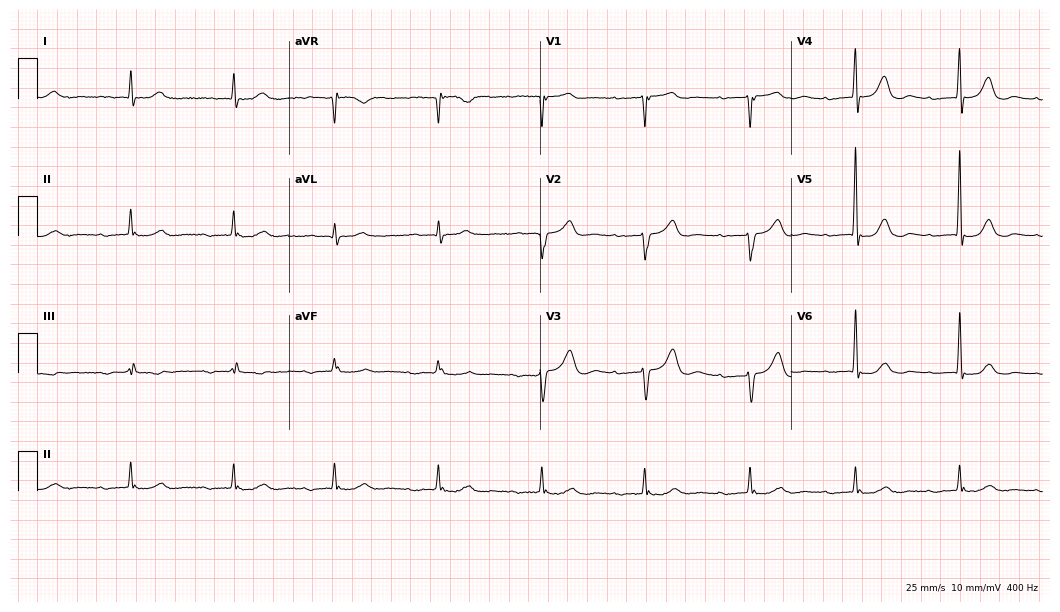
ECG (10.2-second recording at 400 Hz) — an 82-year-old female. Findings include first-degree AV block.